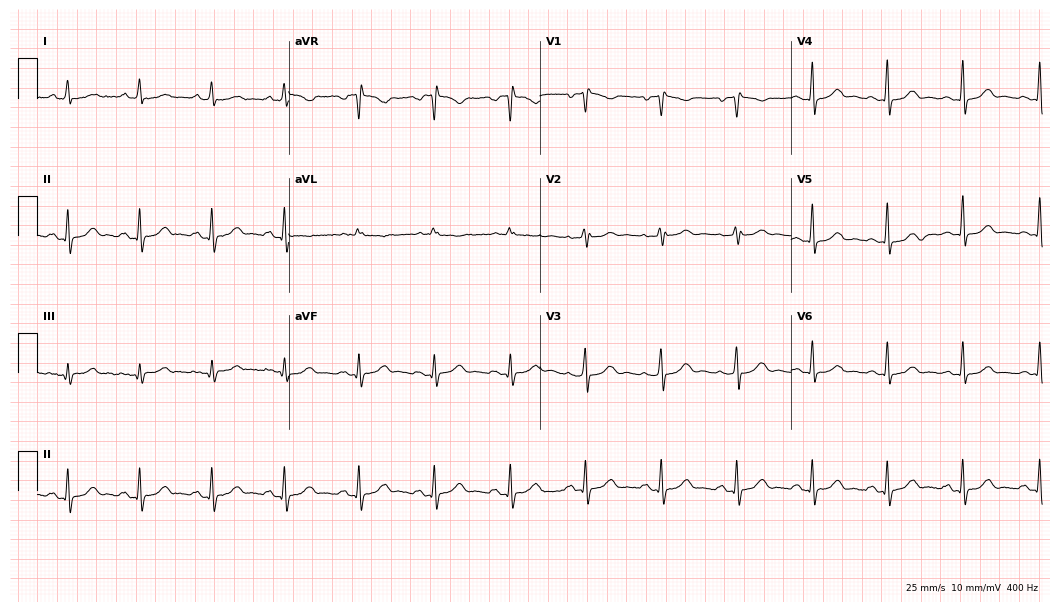
12-lead ECG from a female patient, 61 years old (10.2-second recording at 400 Hz). No first-degree AV block, right bundle branch block, left bundle branch block, sinus bradycardia, atrial fibrillation or sinus tachycardia recorded for this tracing. Other findings, if any, are not listed.